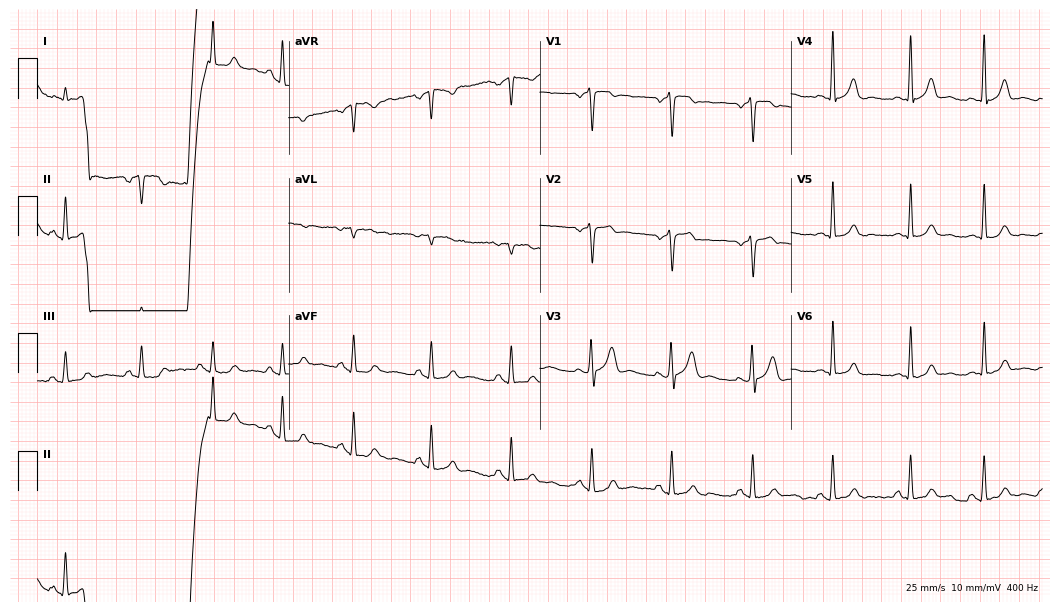
Standard 12-lead ECG recorded from a 56-year-old male (10.2-second recording at 400 Hz). Read as a normal ECG.